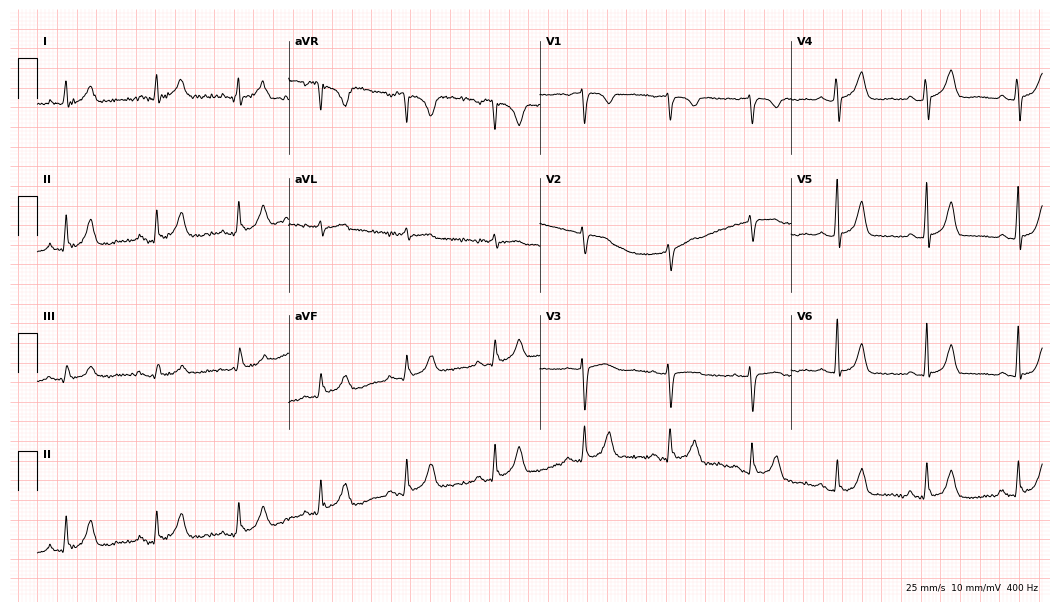
ECG — a woman, 66 years old. Labelled as a normal ECG.